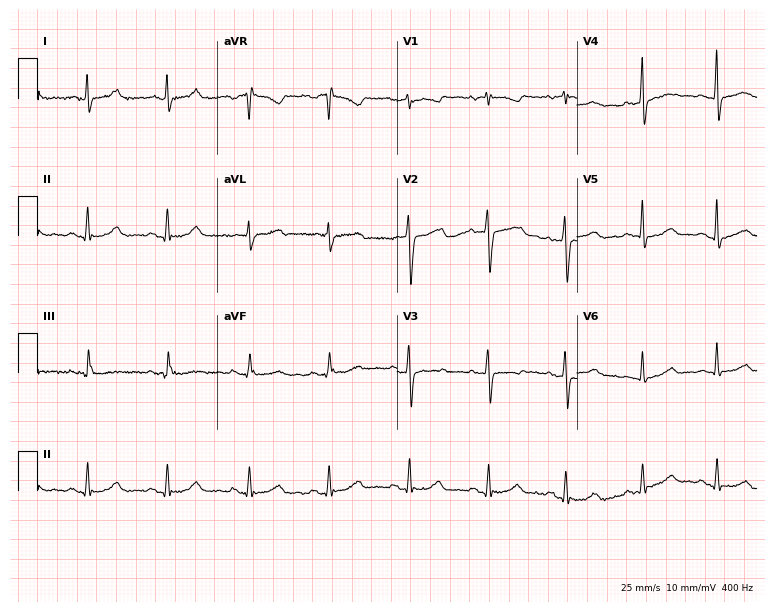
12-lead ECG (7.3-second recording at 400 Hz) from a 60-year-old female. Labelled as a normal ECG.